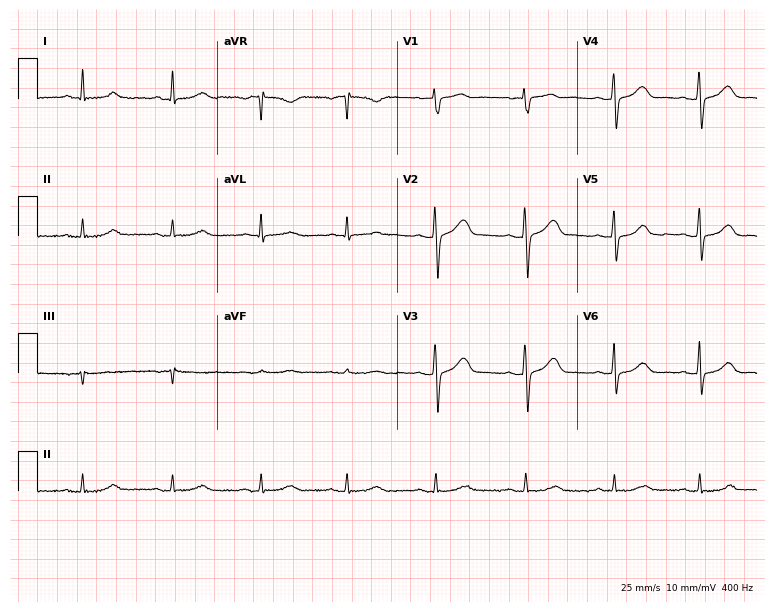
Resting 12-lead electrocardiogram (7.3-second recording at 400 Hz). Patient: a 51-year-old female. None of these six findings is recorded: first-degree AV block, right bundle branch block, left bundle branch block, sinus bradycardia, atrial fibrillation, sinus tachycardia. Other findings, if any, are not listed.